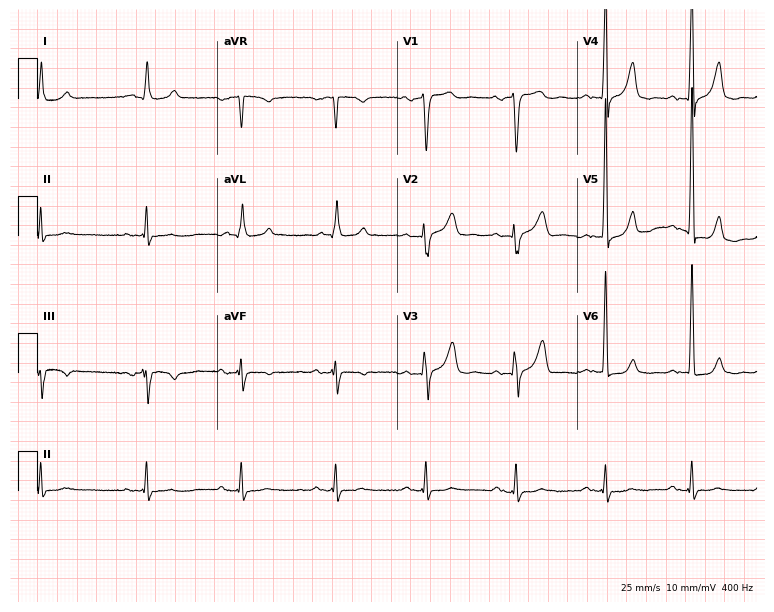
Resting 12-lead electrocardiogram. Patient: a male, 85 years old. The tracing shows first-degree AV block.